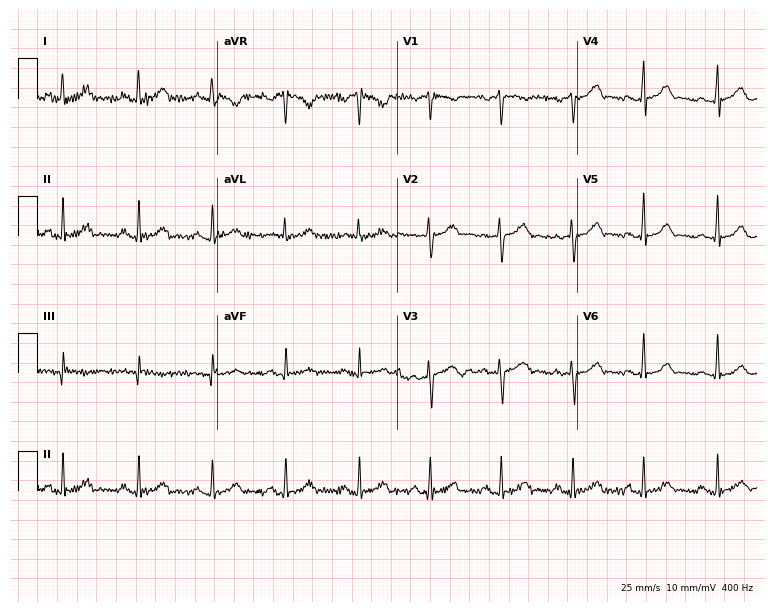
12-lead ECG from a 41-year-old female (7.3-second recording at 400 Hz). Recorded interpretation: within normal limits.